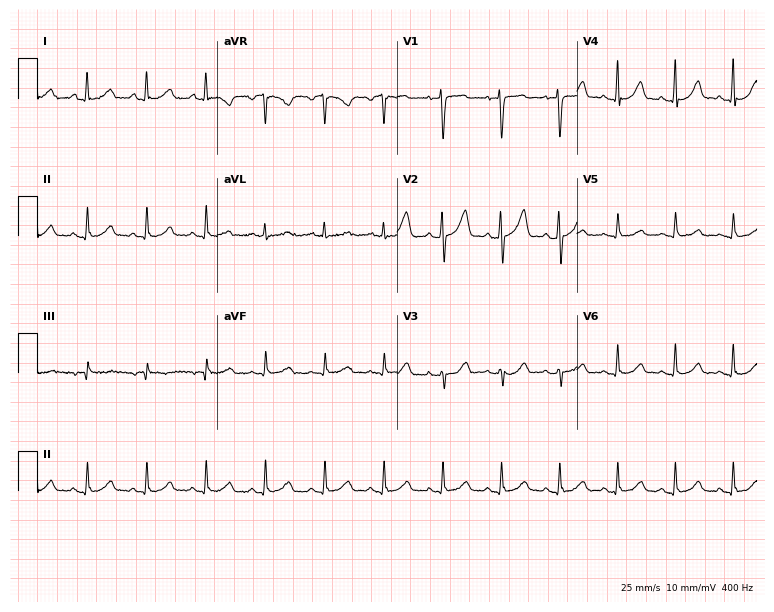
ECG — a 67-year-old female patient. Labelled as a normal ECG.